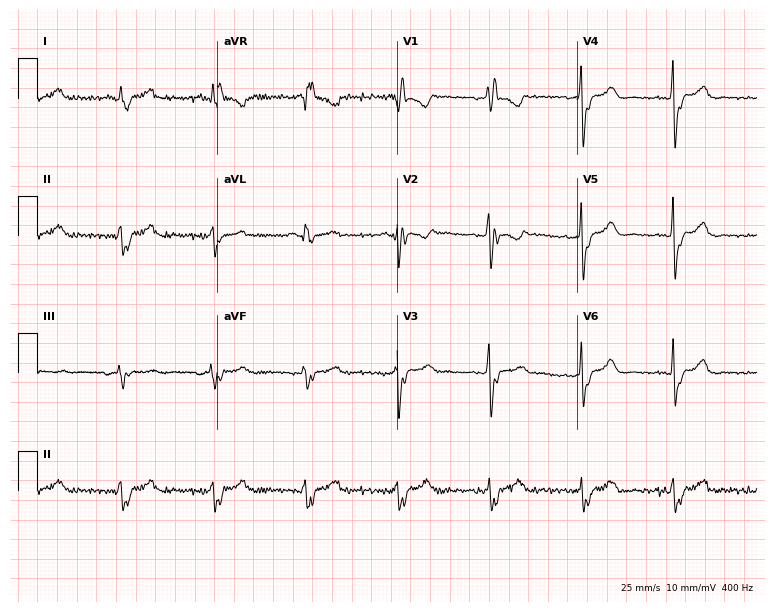
12-lead ECG from a female, 52 years old. Shows right bundle branch block.